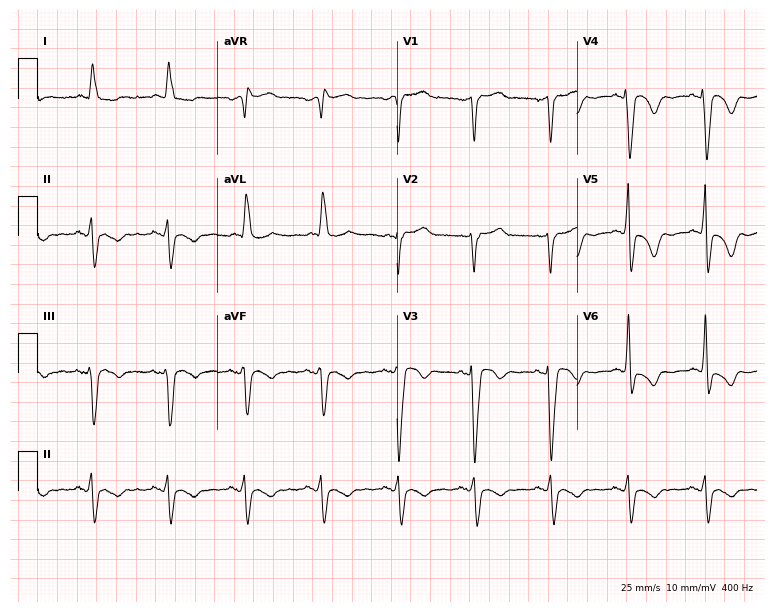
12-lead ECG from a 77-year-old female patient (7.3-second recording at 400 Hz). No first-degree AV block, right bundle branch block (RBBB), left bundle branch block (LBBB), sinus bradycardia, atrial fibrillation (AF) or sinus tachycardia recorded for this tracing.